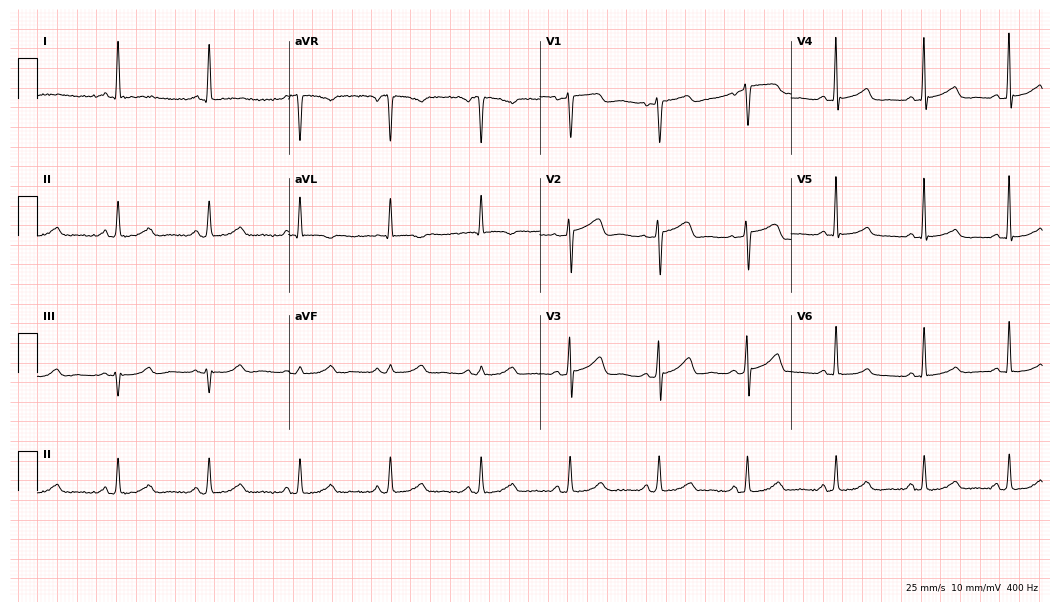
Standard 12-lead ECG recorded from a female, 50 years old (10.2-second recording at 400 Hz). None of these six findings is recorded: first-degree AV block, right bundle branch block, left bundle branch block, sinus bradycardia, atrial fibrillation, sinus tachycardia.